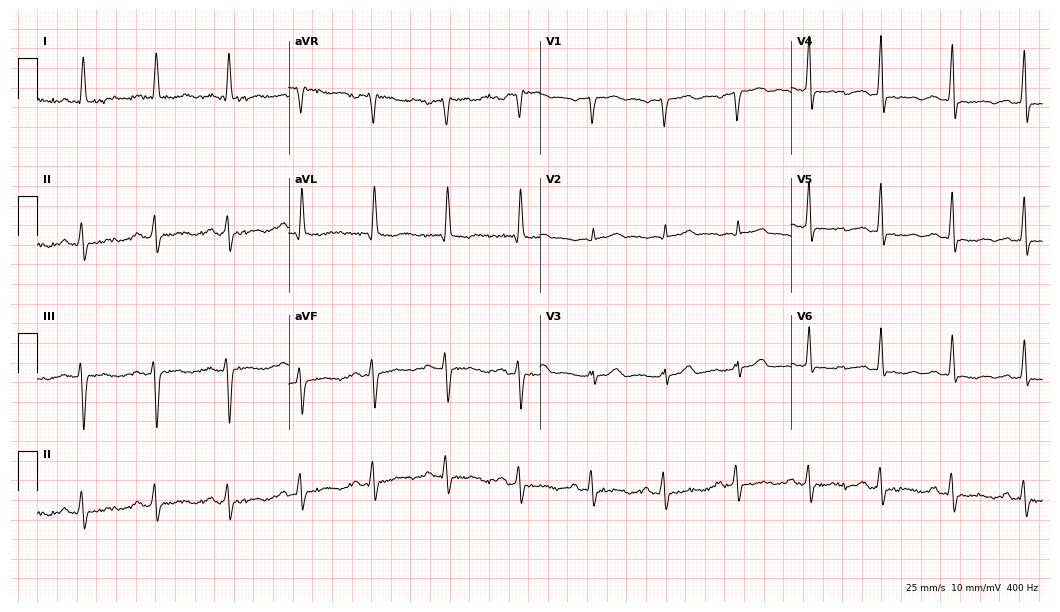
Standard 12-lead ECG recorded from a 67-year-old female. None of these six findings is recorded: first-degree AV block, right bundle branch block, left bundle branch block, sinus bradycardia, atrial fibrillation, sinus tachycardia. Other findings, if any, are not listed.